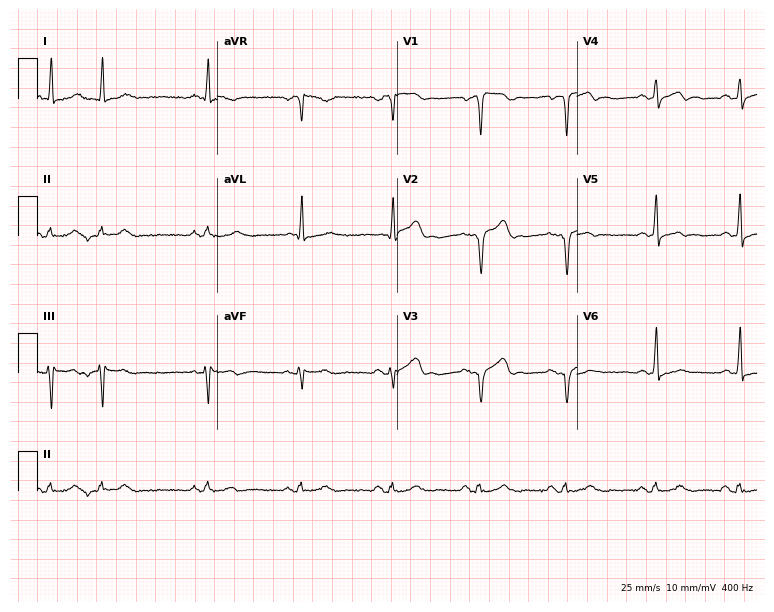
12-lead ECG from a 56-year-old man. Screened for six findings — first-degree AV block, right bundle branch block (RBBB), left bundle branch block (LBBB), sinus bradycardia, atrial fibrillation (AF), sinus tachycardia — none is recorded.